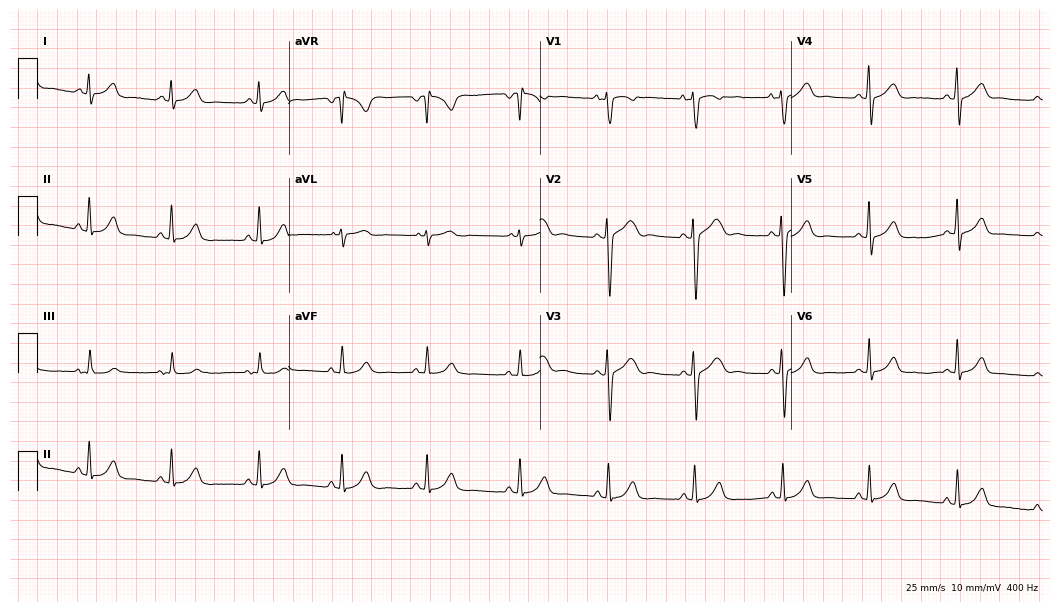
Resting 12-lead electrocardiogram (10.2-second recording at 400 Hz). Patient: a woman, 21 years old. Read as a normal ECG.